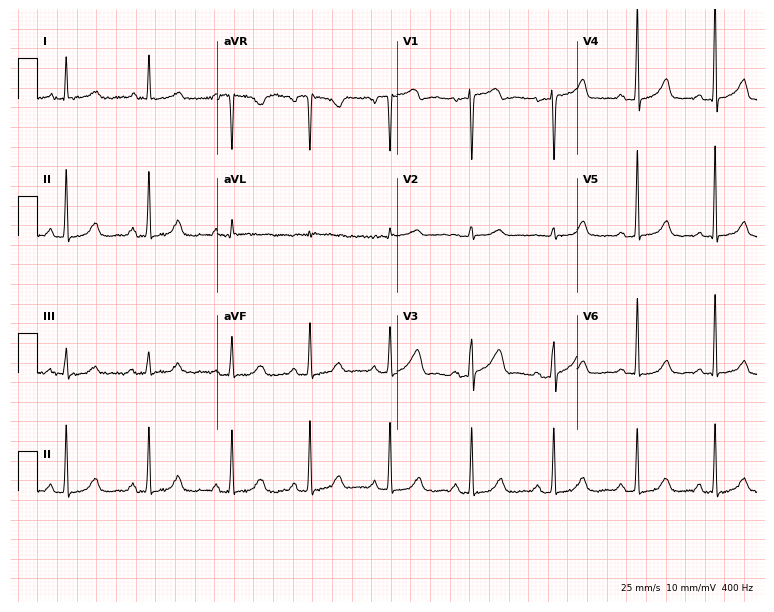
ECG — a female patient, 68 years old. Labelled as a normal ECG.